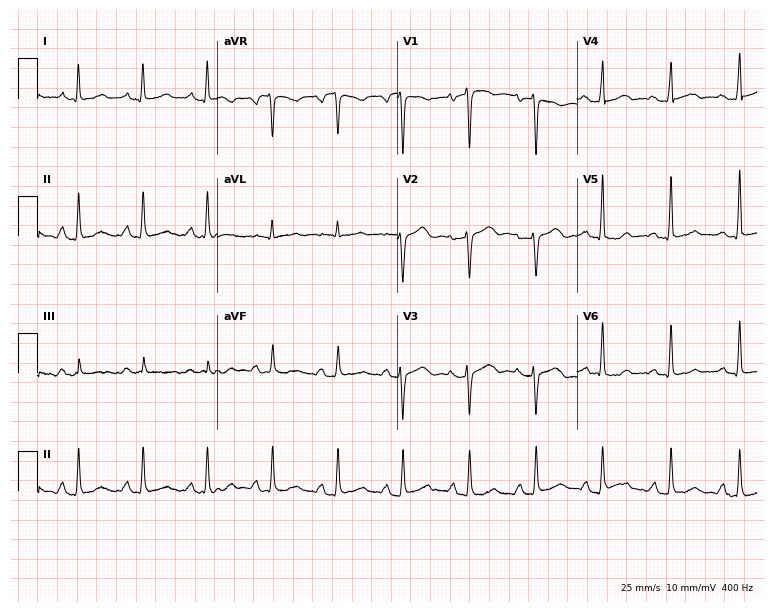
ECG (7.3-second recording at 400 Hz) — a 35-year-old female patient. Labelled as a normal ECG.